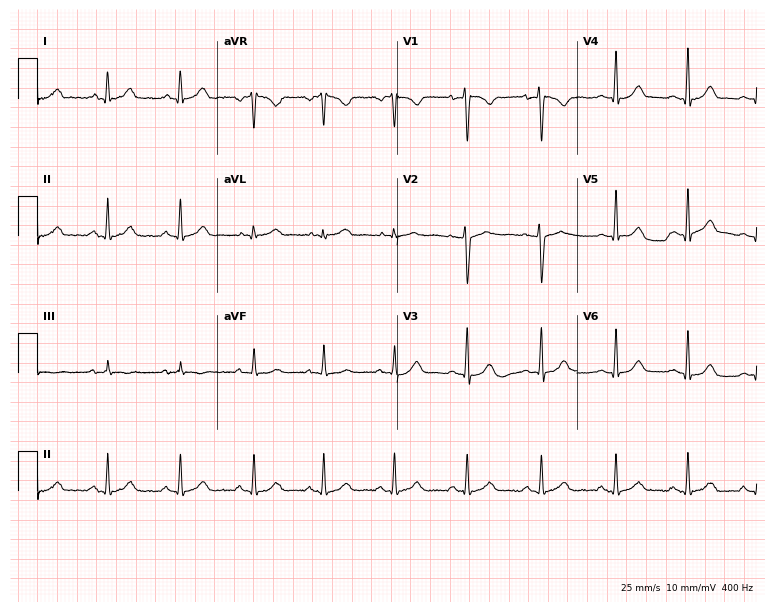
Standard 12-lead ECG recorded from a 25-year-old woman (7.3-second recording at 400 Hz). None of these six findings is recorded: first-degree AV block, right bundle branch block, left bundle branch block, sinus bradycardia, atrial fibrillation, sinus tachycardia.